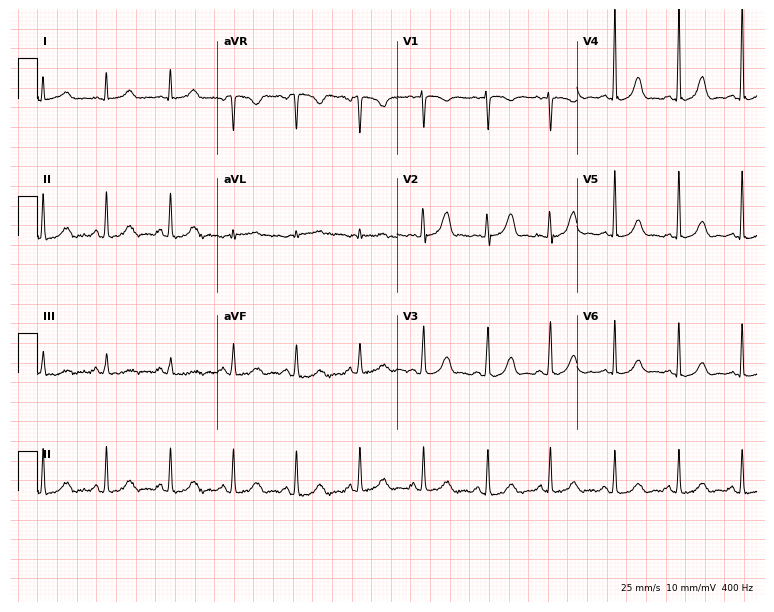
Standard 12-lead ECG recorded from a female, 45 years old. None of these six findings is recorded: first-degree AV block, right bundle branch block, left bundle branch block, sinus bradycardia, atrial fibrillation, sinus tachycardia. Findings outside these six are not listed.